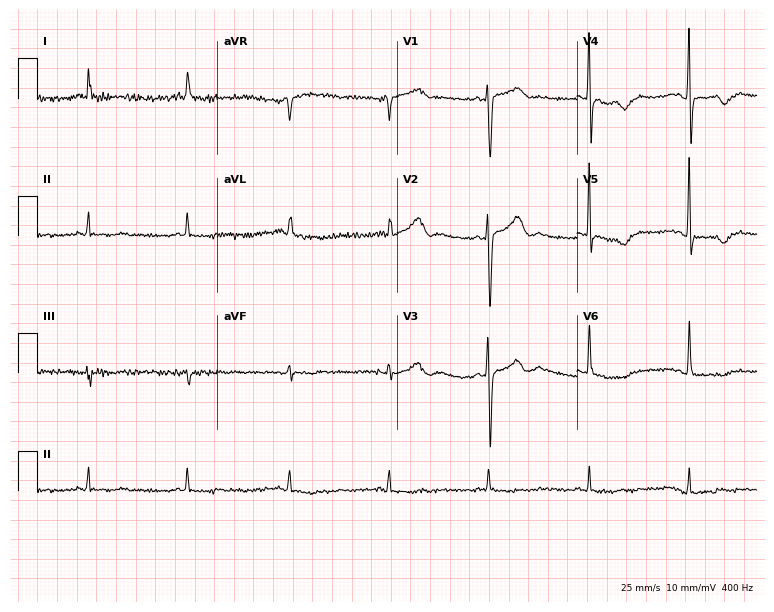
Electrocardiogram (7.3-second recording at 400 Hz), a female, 64 years old. Of the six screened findings (first-degree AV block, right bundle branch block, left bundle branch block, sinus bradycardia, atrial fibrillation, sinus tachycardia), none is recorded.